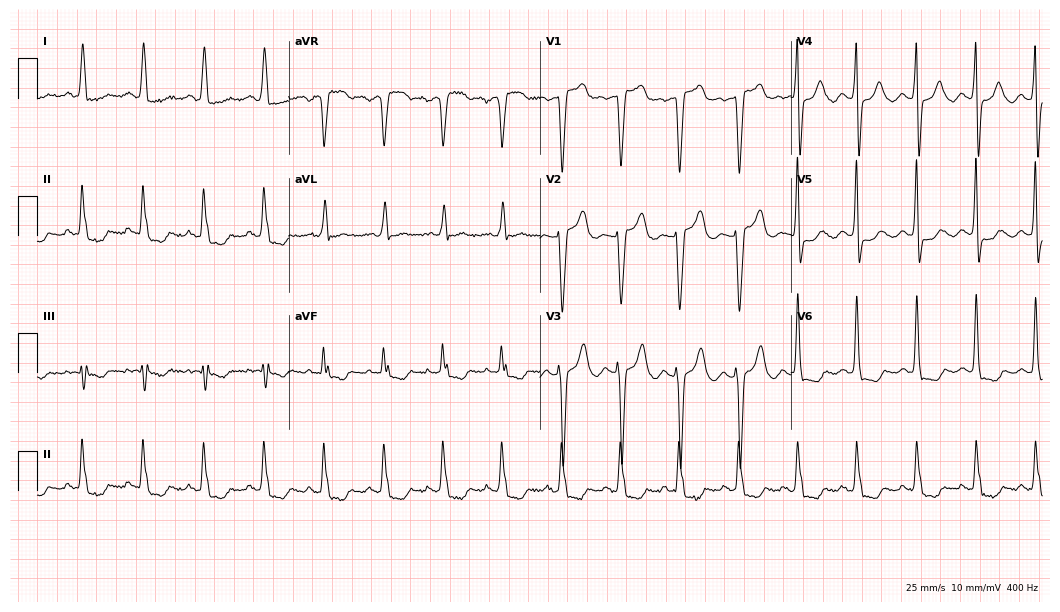
12-lead ECG from a female, 65 years old (10.2-second recording at 400 Hz). No first-degree AV block, right bundle branch block (RBBB), left bundle branch block (LBBB), sinus bradycardia, atrial fibrillation (AF) or sinus tachycardia recorded for this tracing. Findings outside these six are not listed.